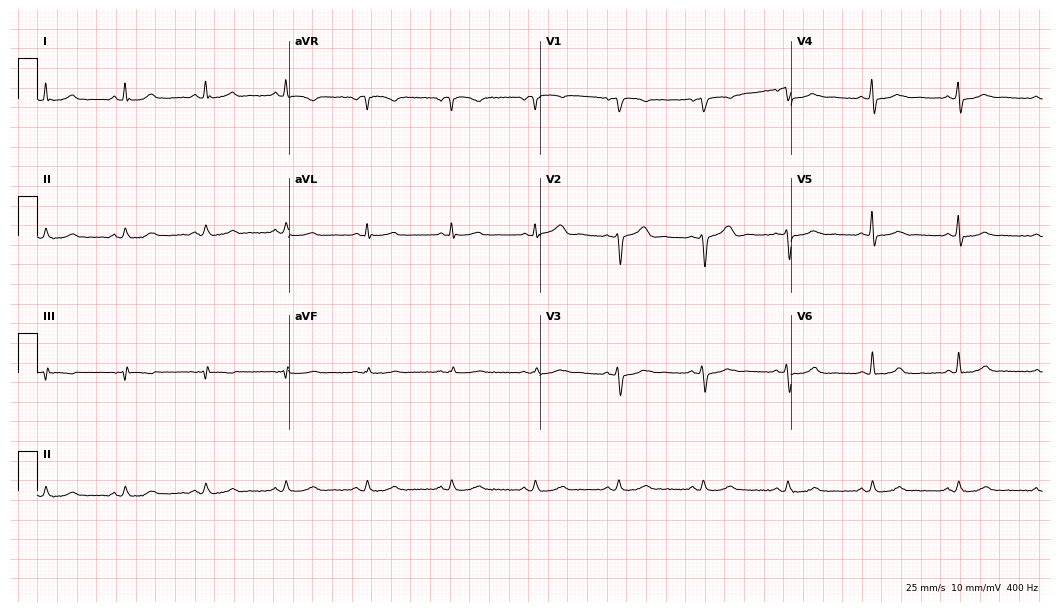
Resting 12-lead electrocardiogram. Patient: a 38-year-old female. Read as a normal ECG.